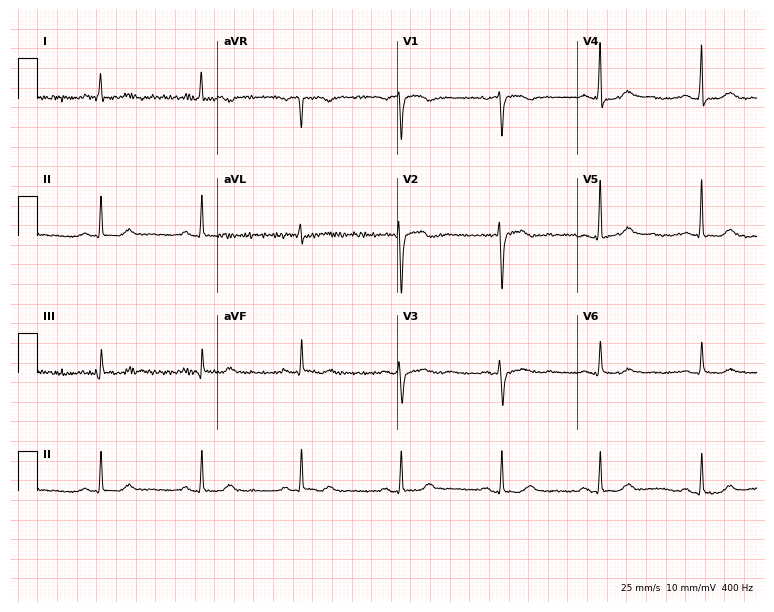
Electrocardiogram (7.3-second recording at 400 Hz), a female patient, 70 years old. Of the six screened findings (first-degree AV block, right bundle branch block, left bundle branch block, sinus bradycardia, atrial fibrillation, sinus tachycardia), none is recorded.